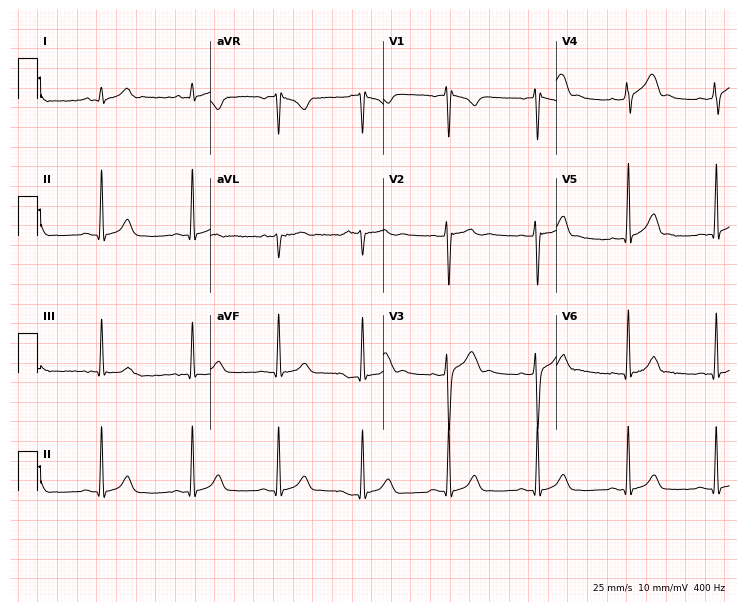
Electrocardiogram (7.1-second recording at 400 Hz), a 24-year-old male. Overall reading on record: normal ECG.